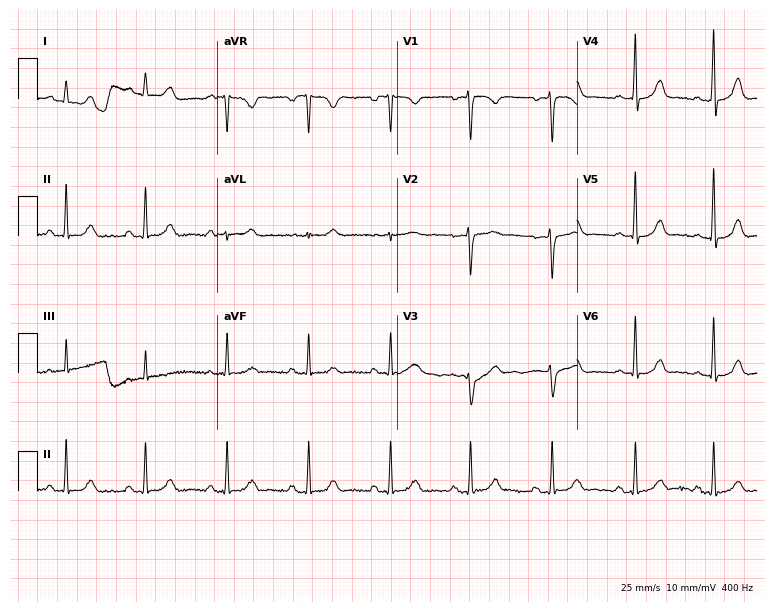
Electrocardiogram, a woman, 30 years old. Overall reading on record: normal ECG.